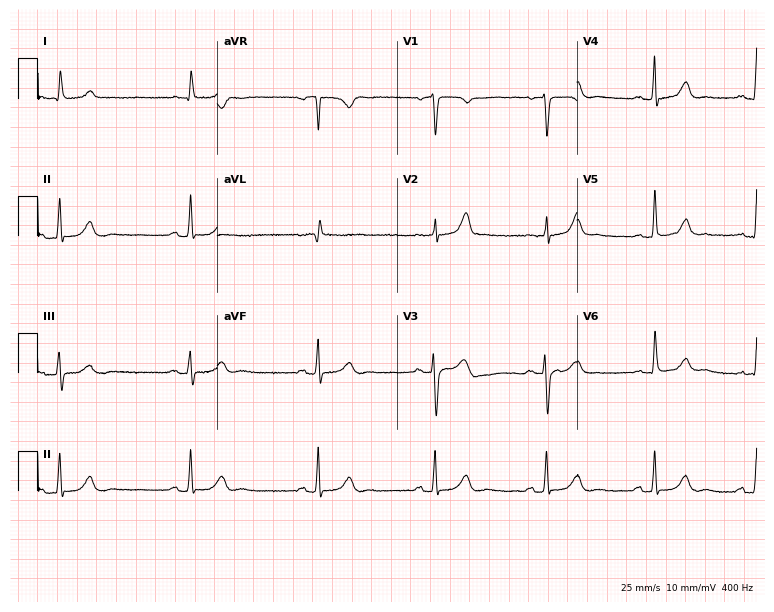
Standard 12-lead ECG recorded from a female, 70 years old (7.3-second recording at 400 Hz). None of these six findings is recorded: first-degree AV block, right bundle branch block (RBBB), left bundle branch block (LBBB), sinus bradycardia, atrial fibrillation (AF), sinus tachycardia.